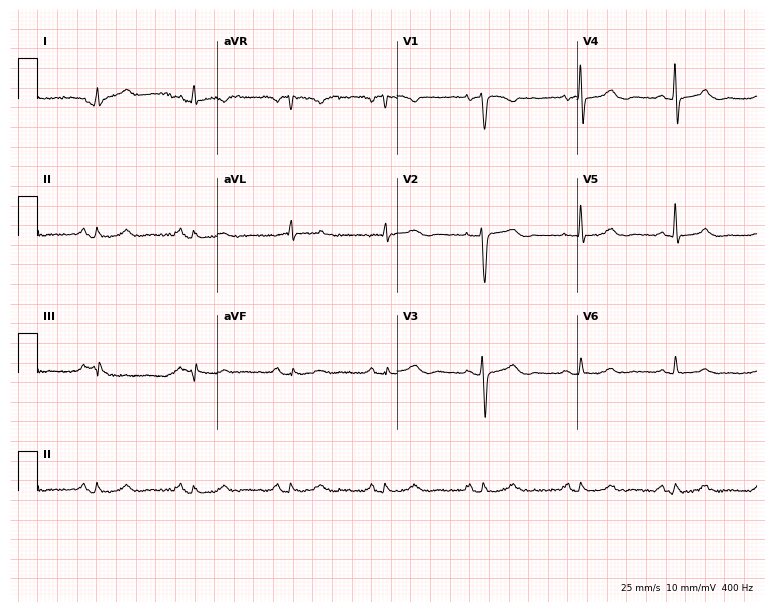
Electrocardiogram, a male patient, 63 years old. Of the six screened findings (first-degree AV block, right bundle branch block, left bundle branch block, sinus bradycardia, atrial fibrillation, sinus tachycardia), none is recorded.